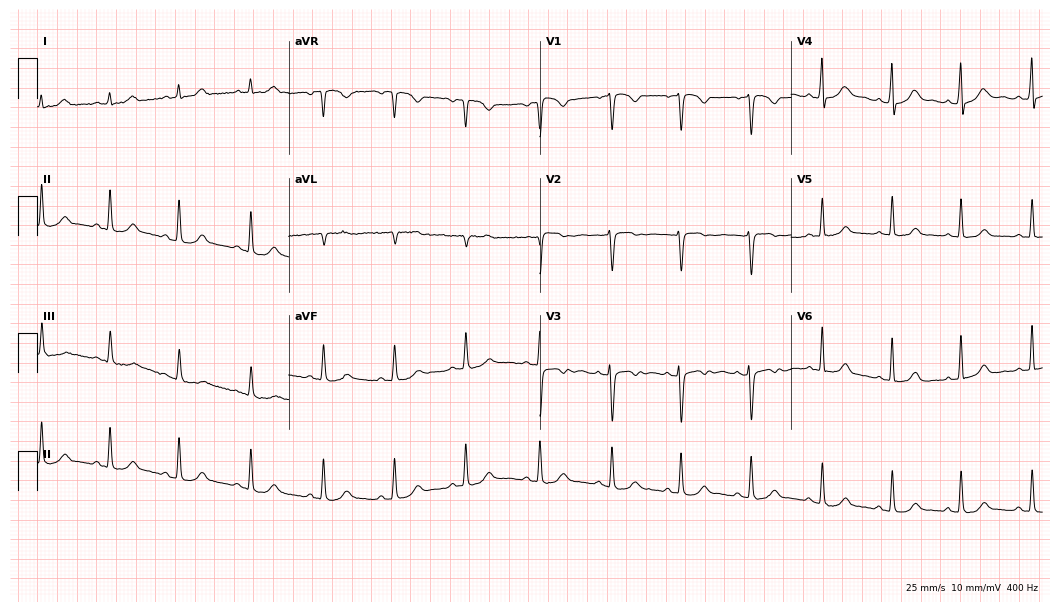
Electrocardiogram, a female, 38 years old. Overall reading on record: normal ECG.